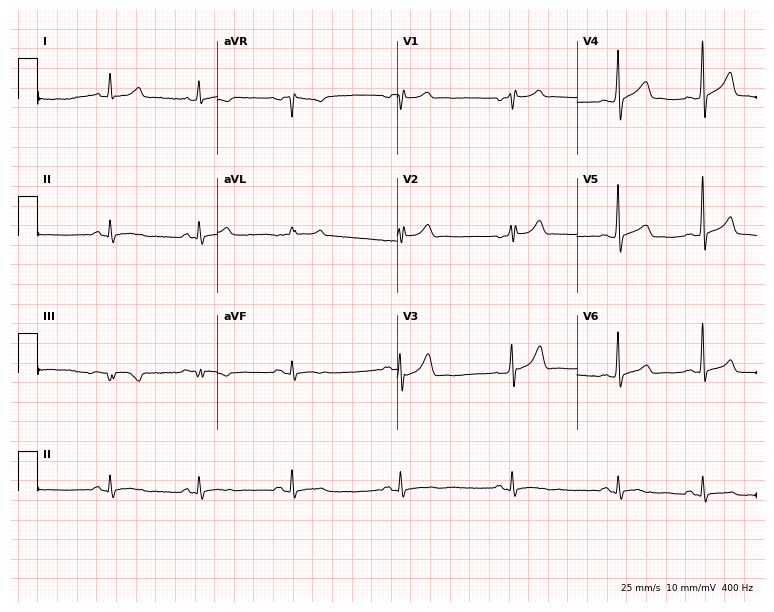
12-lead ECG (7.3-second recording at 400 Hz) from a male, 28 years old. Screened for six findings — first-degree AV block, right bundle branch block (RBBB), left bundle branch block (LBBB), sinus bradycardia, atrial fibrillation (AF), sinus tachycardia — none is recorded.